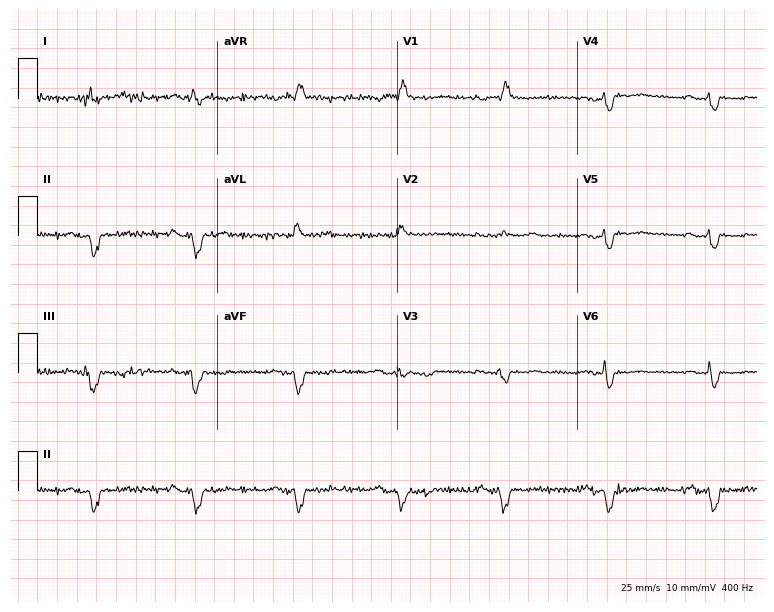
Resting 12-lead electrocardiogram. Patient: a male, 68 years old. None of these six findings is recorded: first-degree AV block, right bundle branch block, left bundle branch block, sinus bradycardia, atrial fibrillation, sinus tachycardia.